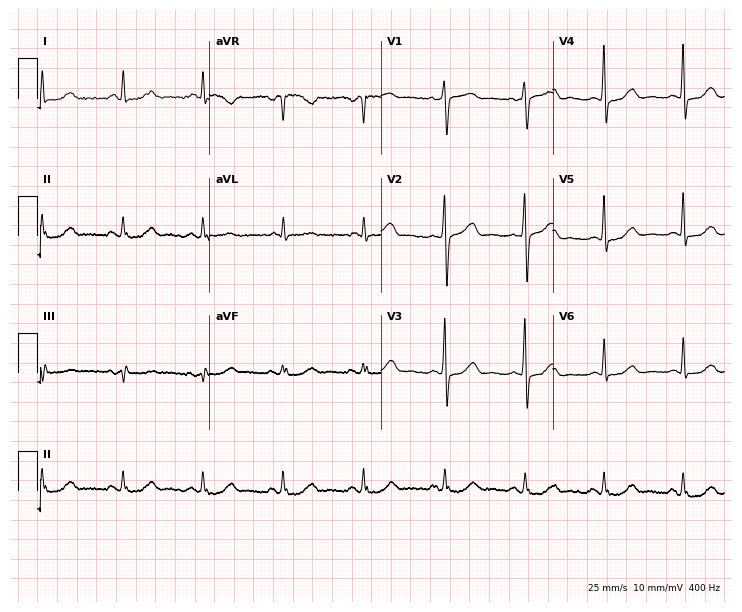
ECG — a female, 71 years old. Labelled as a normal ECG.